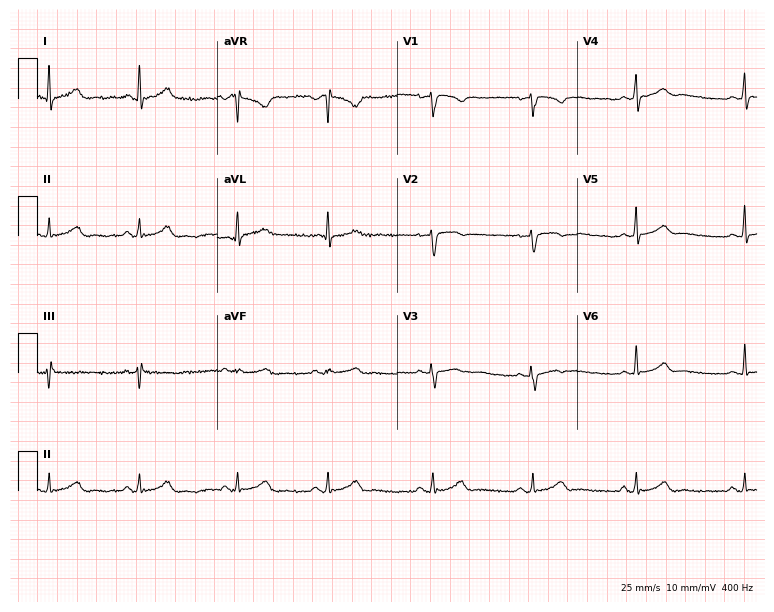
12-lead ECG (7.3-second recording at 400 Hz) from a 27-year-old female. Labelled as a normal ECG.